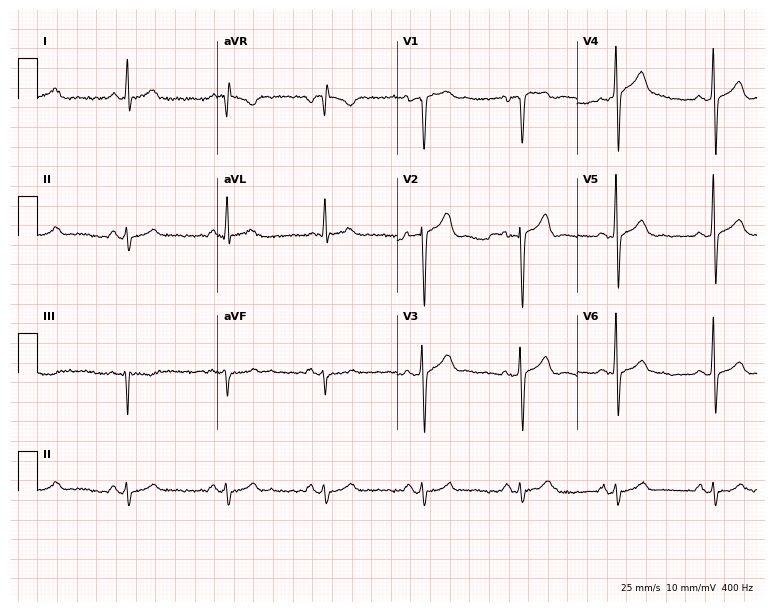
ECG (7.3-second recording at 400 Hz) — a man, 61 years old. Screened for six findings — first-degree AV block, right bundle branch block, left bundle branch block, sinus bradycardia, atrial fibrillation, sinus tachycardia — none is recorded.